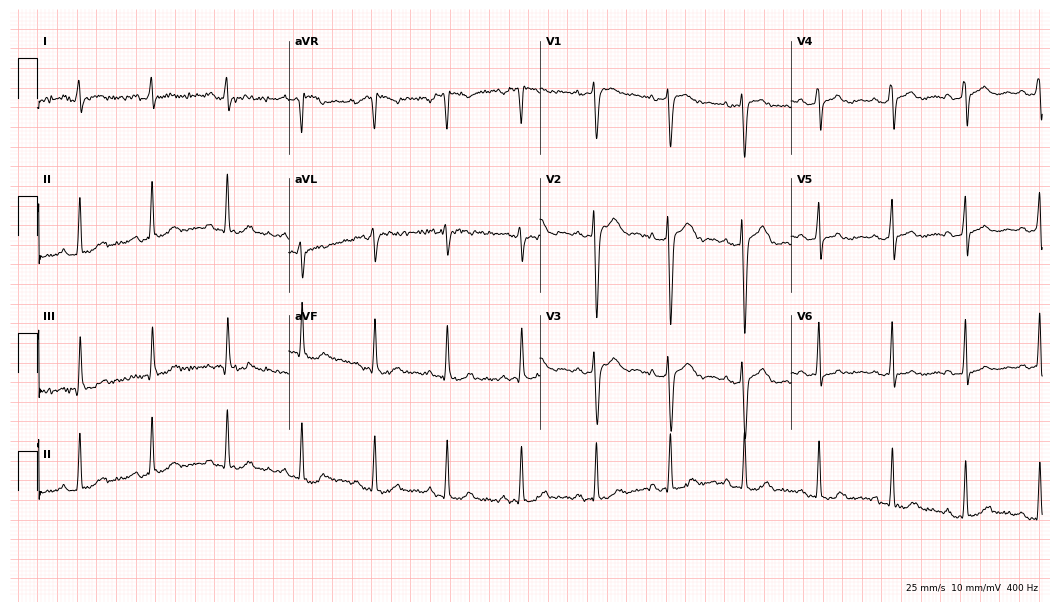
ECG — a woman, 55 years old. Screened for six findings — first-degree AV block, right bundle branch block (RBBB), left bundle branch block (LBBB), sinus bradycardia, atrial fibrillation (AF), sinus tachycardia — none is recorded. Findings outside these six are not listed.